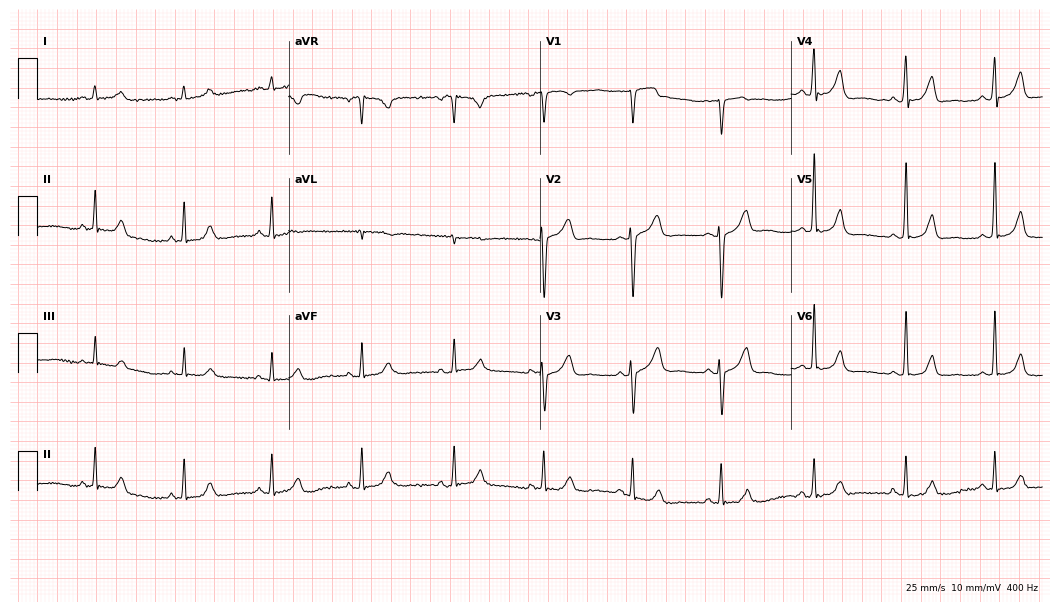
12-lead ECG from a female patient, 52 years old. Labelled as a normal ECG.